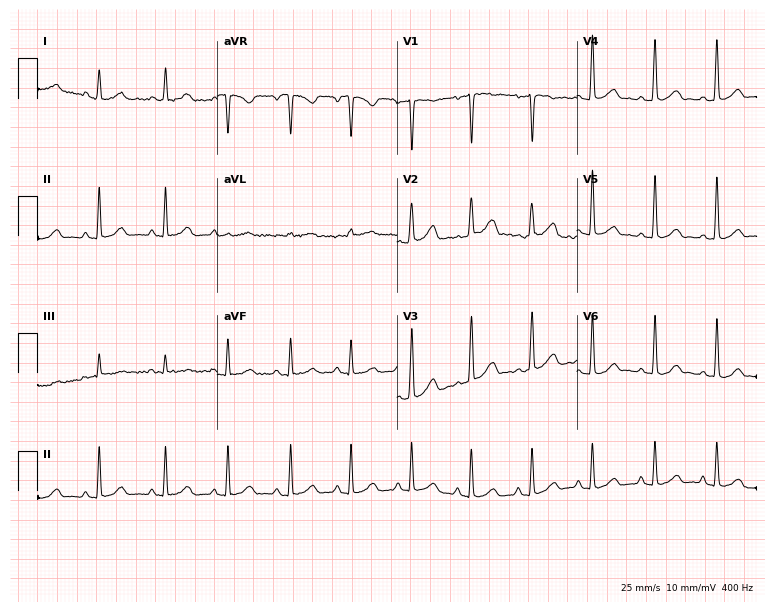
Resting 12-lead electrocardiogram (7.3-second recording at 400 Hz). Patient: a 36-year-old woman. None of these six findings is recorded: first-degree AV block, right bundle branch block, left bundle branch block, sinus bradycardia, atrial fibrillation, sinus tachycardia. Other findings, if any, are not listed.